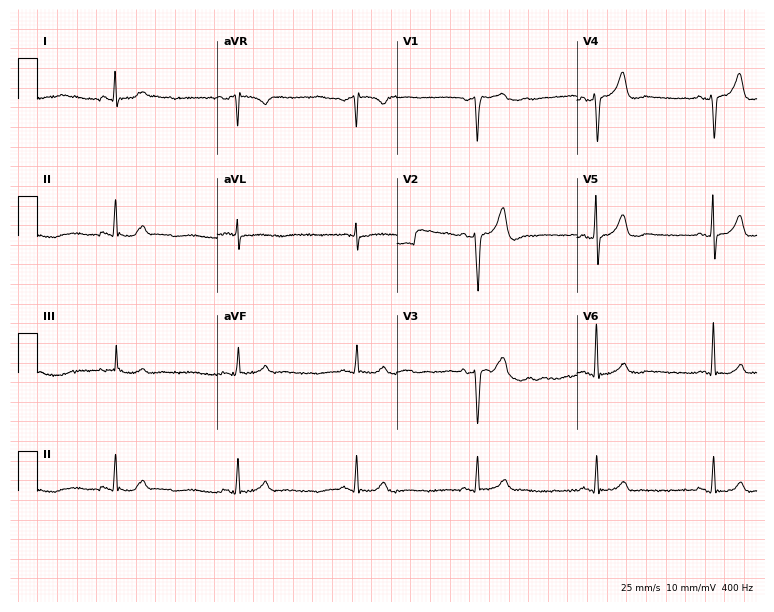
12-lead ECG from a male patient, 57 years old (7.3-second recording at 400 Hz). Shows sinus bradycardia (a sinus rate of 50 beats per minute or less).